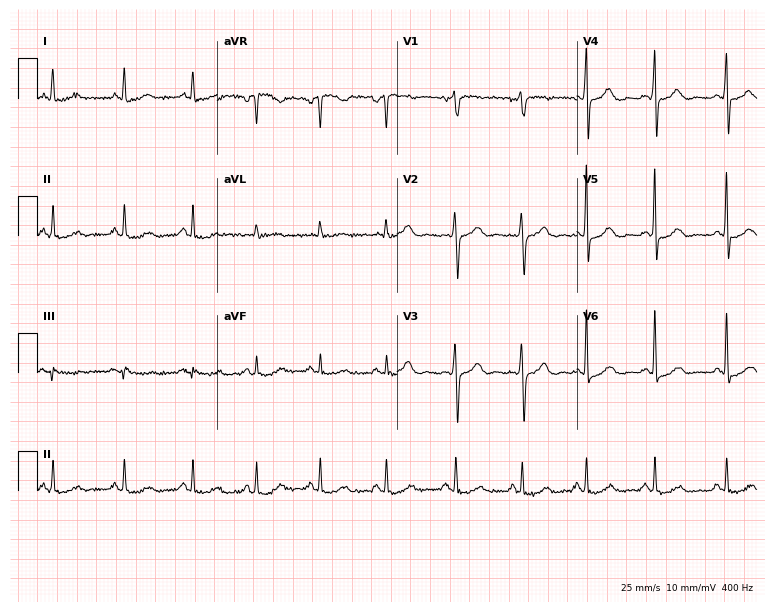
ECG — a 54-year-old female. Screened for six findings — first-degree AV block, right bundle branch block, left bundle branch block, sinus bradycardia, atrial fibrillation, sinus tachycardia — none is recorded.